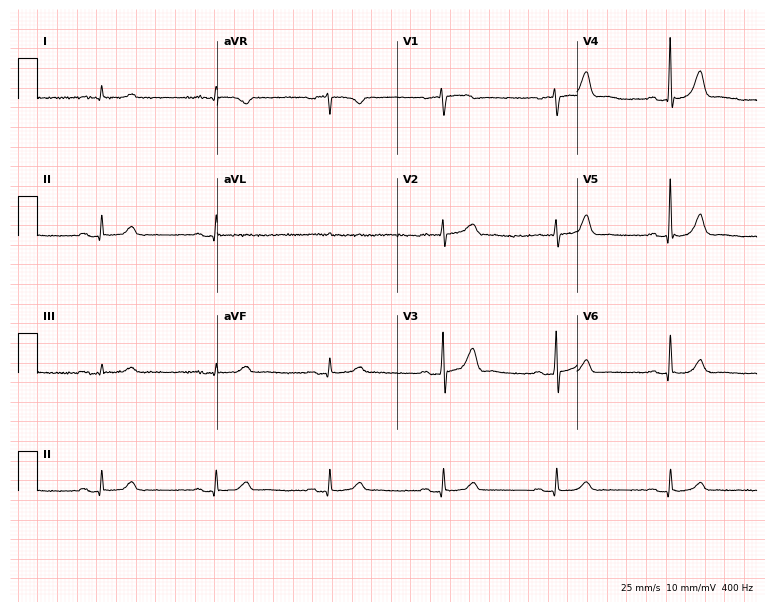
Standard 12-lead ECG recorded from a 77-year-old male patient (7.3-second recording at 400 Hz). Read as a normal ECG.